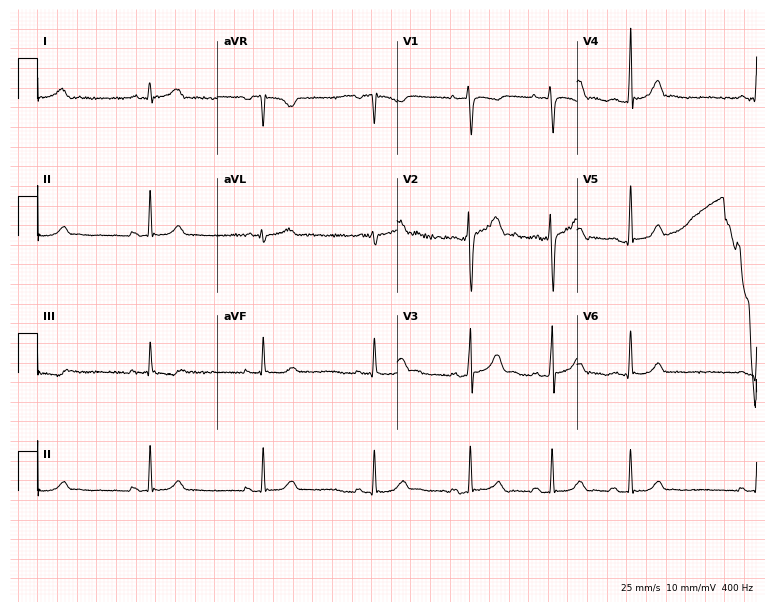
12-lead ECG from a 26-year-old male. Screened for six findings — first-degree AV block, right bundle branch block, left bundle branch block, sinus bradycardia, atrial fibrillation, sinus tachycardia — none is recorded.